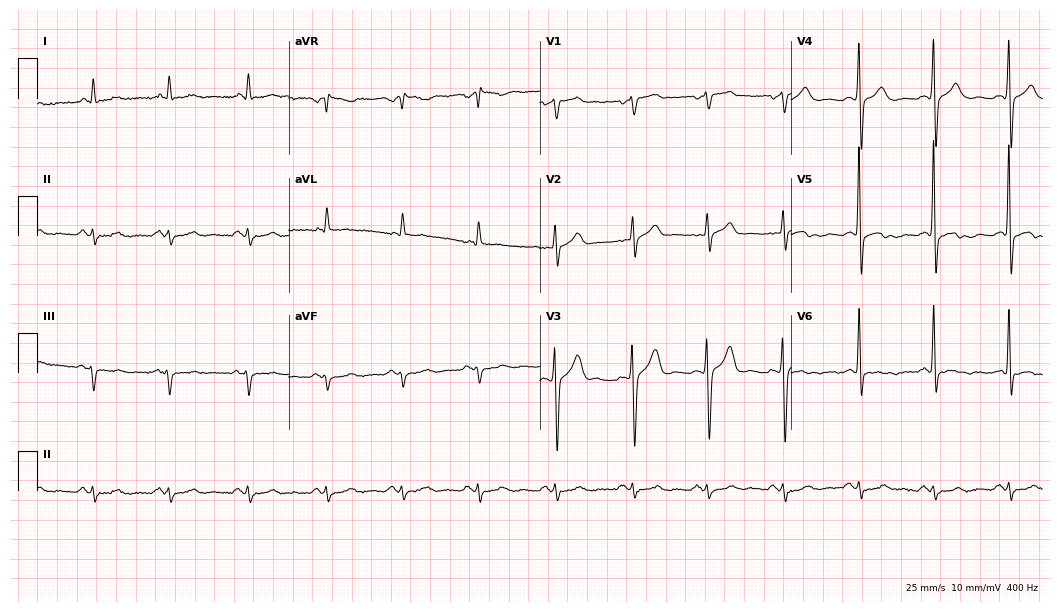
ECG — an 82-year-old man. Screened for six findings — first-degree AV block, right bundle branch block, left bundle branch block, sinus bradycardia, atrial fibrillation, sinus tachycardia — none is recorded.